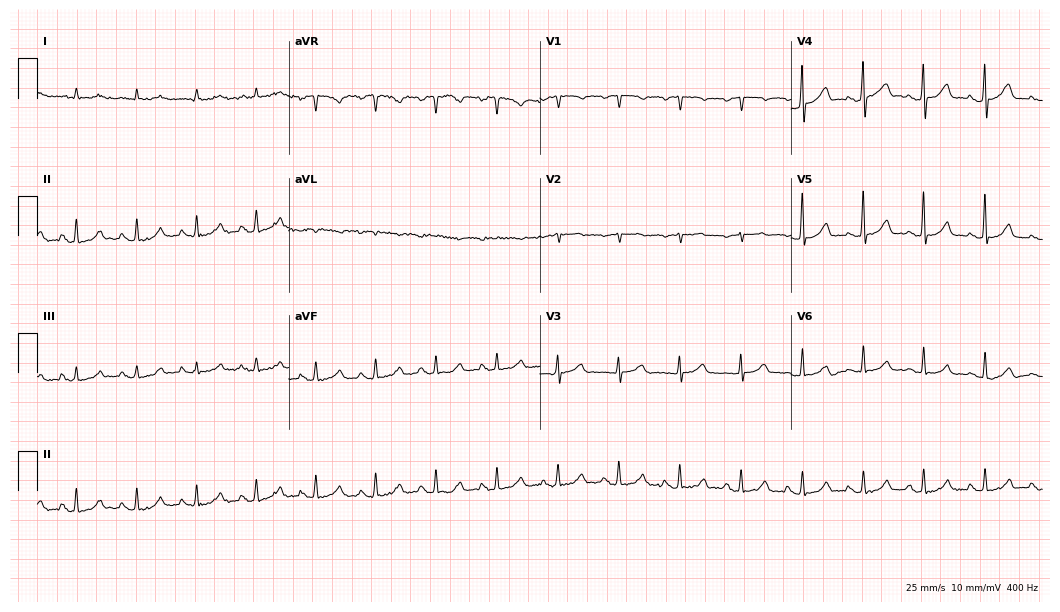
Resting 12-lead electrocardiogram (10.2-second recording at 400 Hz). Patient: a woman, 81 years old. Read as a normal ECG.